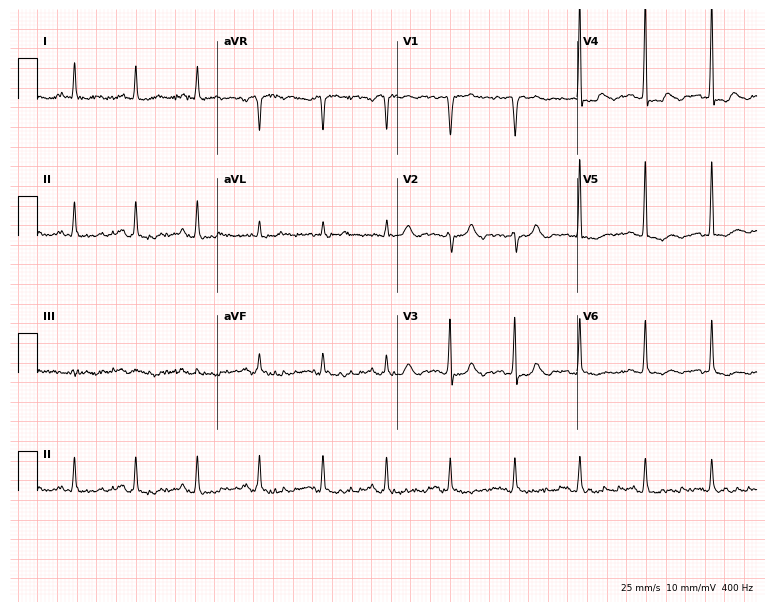
Electrocardiogram (7.3-second recording at 400 Hz), a woman, 77 years old. Of the six screened findings (first-degree AV block, right bundle branch block (RBBB), left bundle branch block (LBBB), sinus bradycardia, atrial fibrillation (AF), sinus tachycardia), none is recorded.